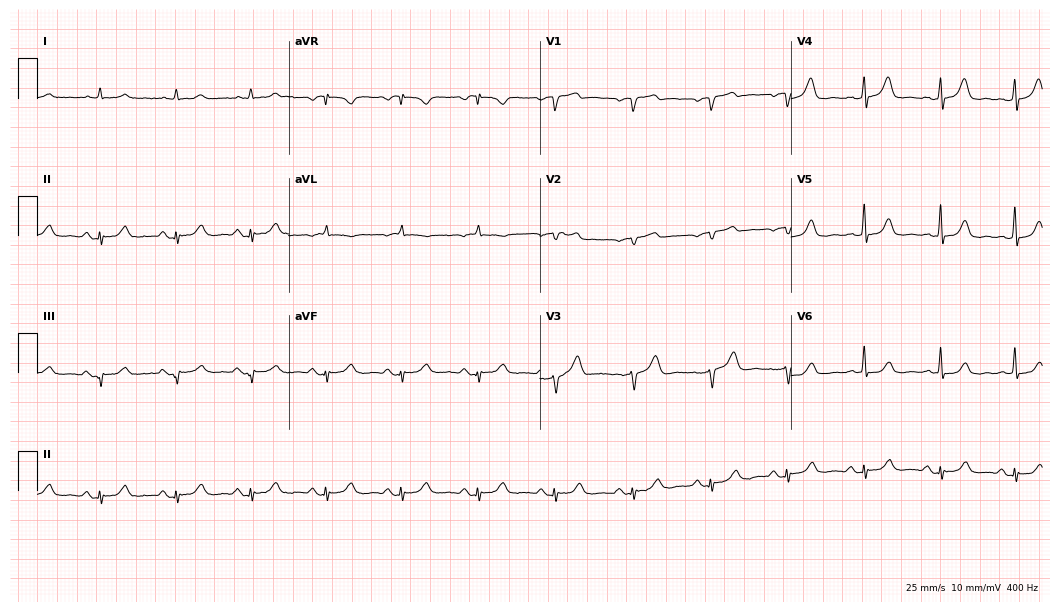
12-lead ECG from a male, 75 years old. Recorded interpretation: within normal limits.